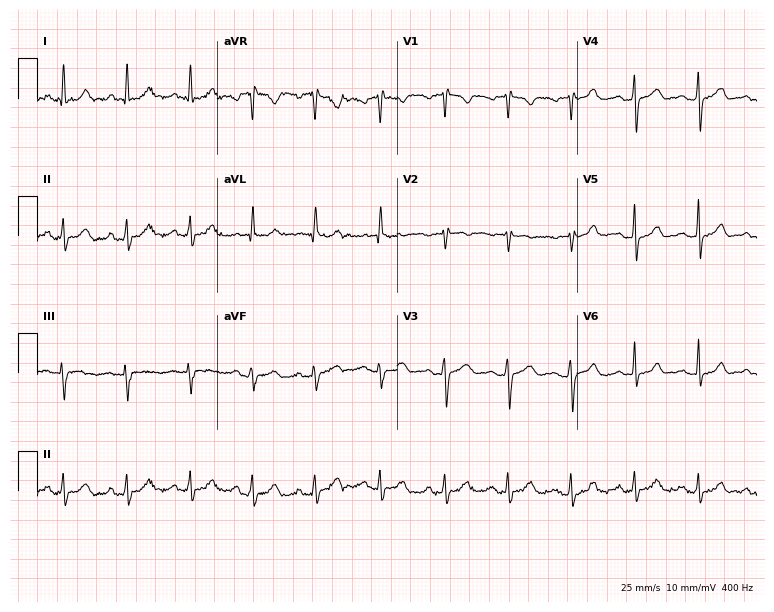
12-lead ECG from a 49-year-old woman (7.3-second recording at 400 Hz). Recorded interpretation: within normal limits.